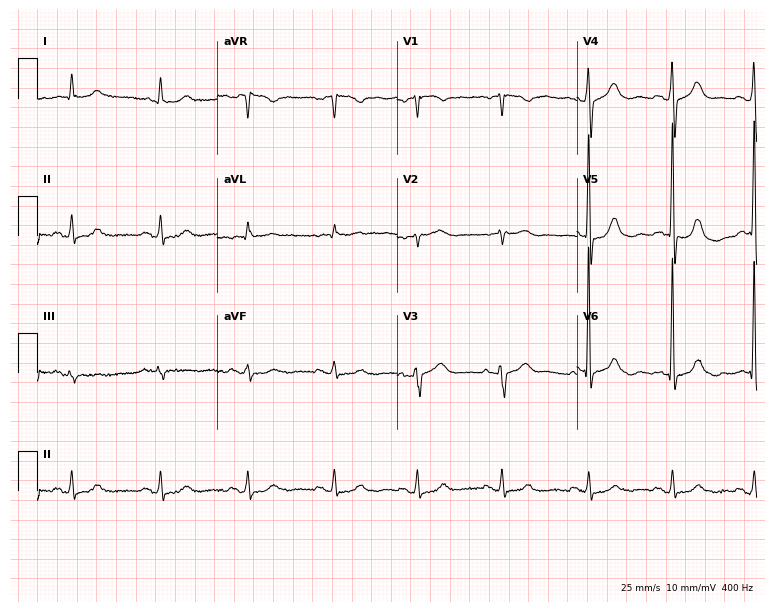
12-lead ECG from a female patient, 78 years old (7.3-second recording at 400 Hz). Recorded interpretation: within normal limits.